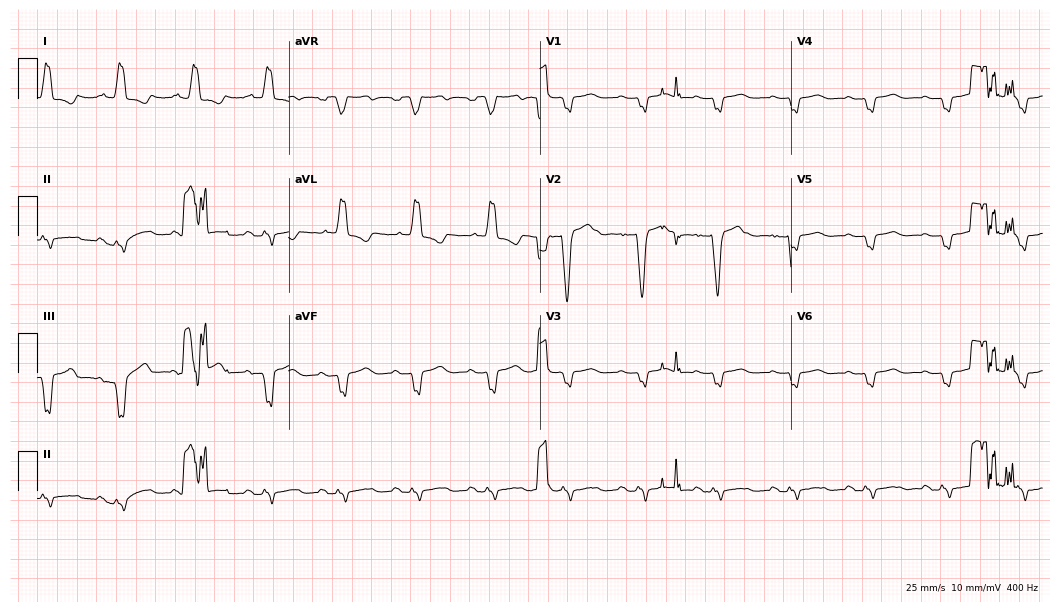
Standard 12-lead ECG recorded from a 66-year-old male patient (10.2-second recording at 400 Hz). The tracing shows left bundle branch block.